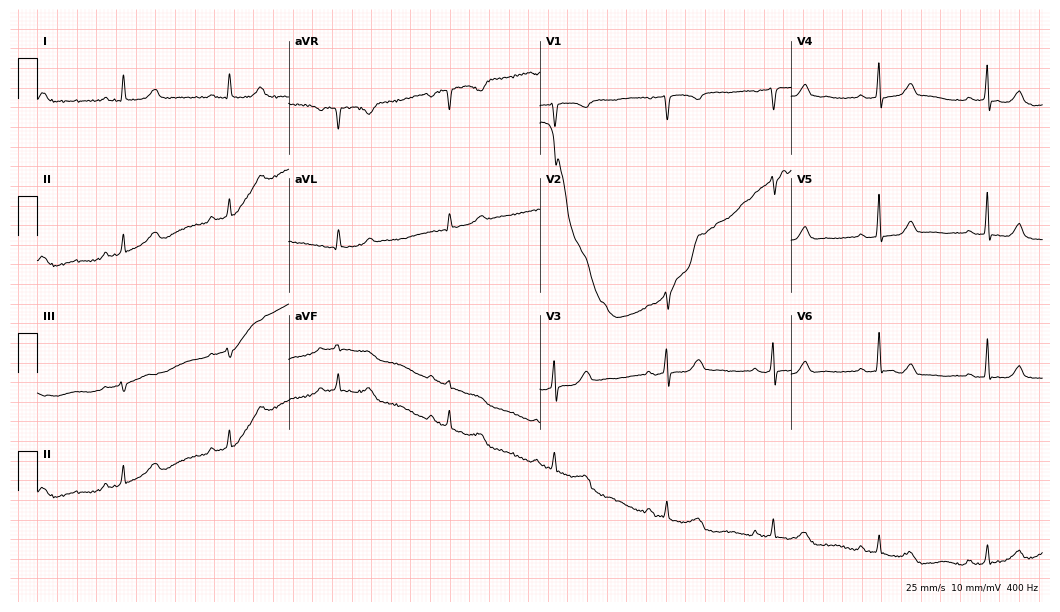
Standard 12-lead ECG recorded from a female patient, 57 years old (10.2-second recording at 400 Hz). Read as a normal ECG.